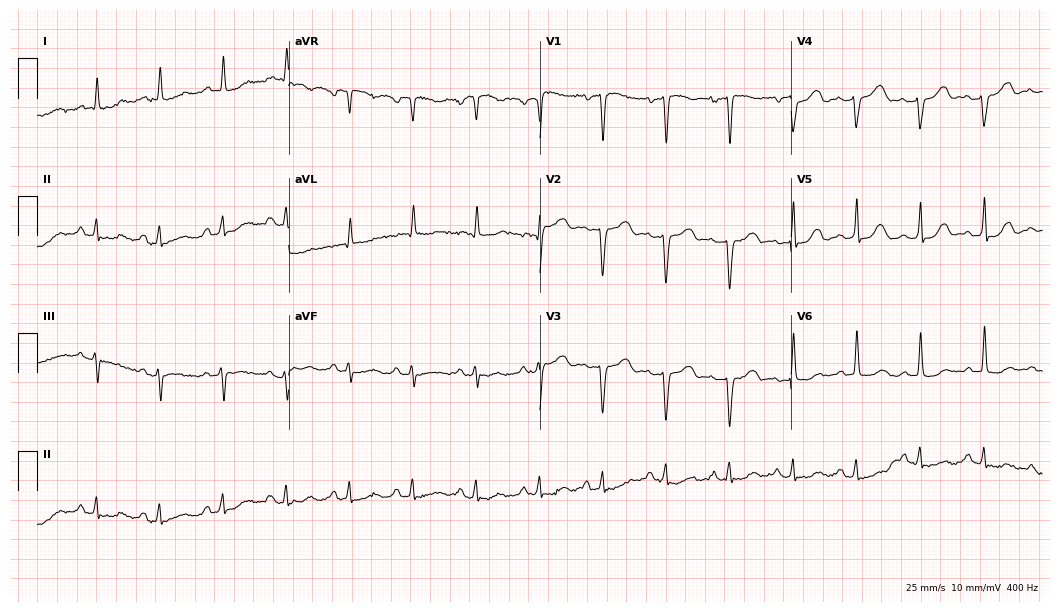
12-lead ECG (10.2-second recording at 400 Hz) from a 76-year-old female. Screened for six findings — first-degree AV block, right bundle branch block, left bundle branch block, sinus bradycardia, atrial fibrillation, sinus tachycardia — none is recorded.